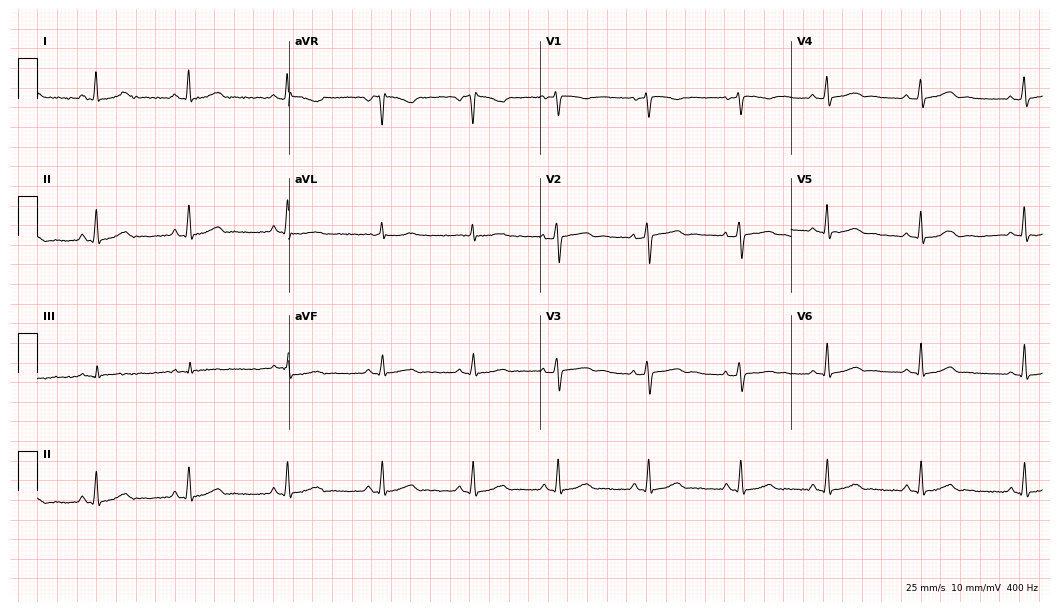
Electrocardiogram, a female patient, 41 years old. Overall reading on record: normal ECG.